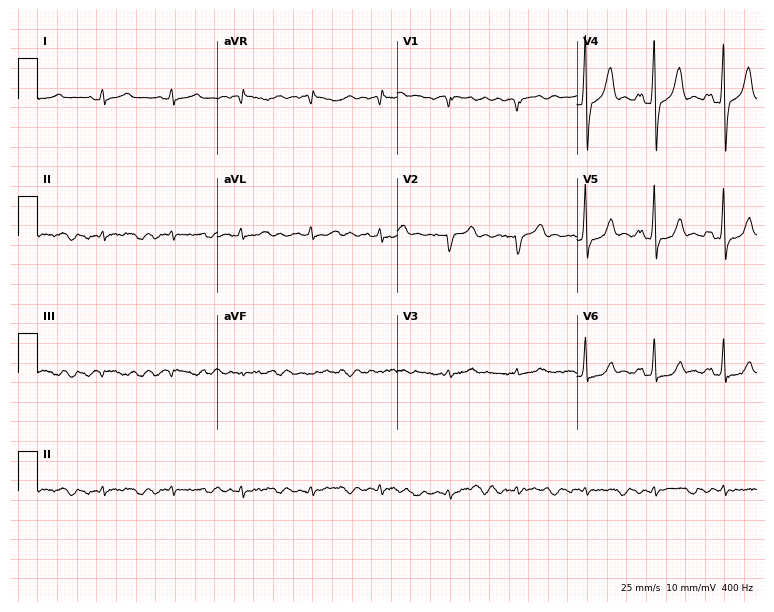
ECG — a man, 69 years old. Screened for six findings — first-degree AV block, right bundle branch block, left bundle branch block, sinus bradycardia, atrial fibrillation, sinus tachycardia — none is recorded. Only these six findings were labelled.